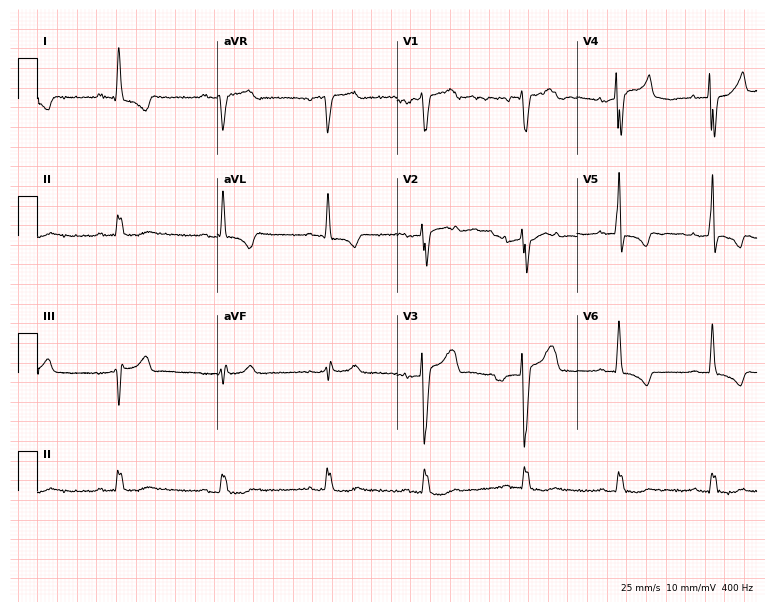
Resting 12-lead electrocardiogram (7.3-second recording at 400 Hz). Patient: a male, 53 years old. None of these six findings is recorded: first-degree AV block, right bundle branch block, left bundle branch block, sinus bradycardia, atrial fibrillation, sinus tachycardia. Other findings, if any, are not listed.